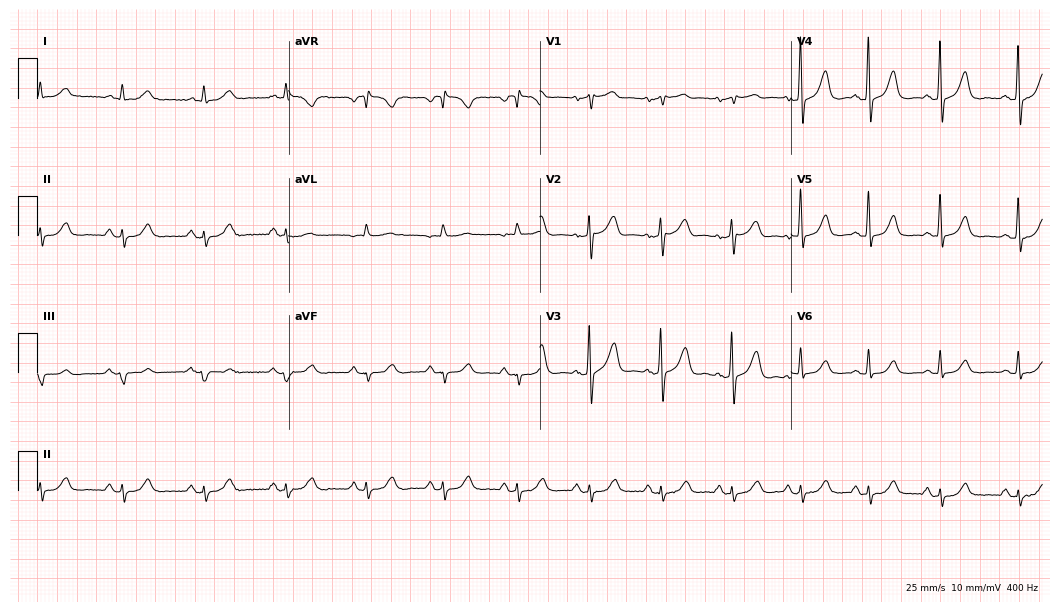
Standard 12-lead ECG recorded from a male patient, 80 years old (10.2-second recording at 400 Hz). None of these six findings is recorded: first-degree AV block, right bundle branch block, left bundle branch block, sinus bradycardia, atrial fibrillation, sinus tachycardia.